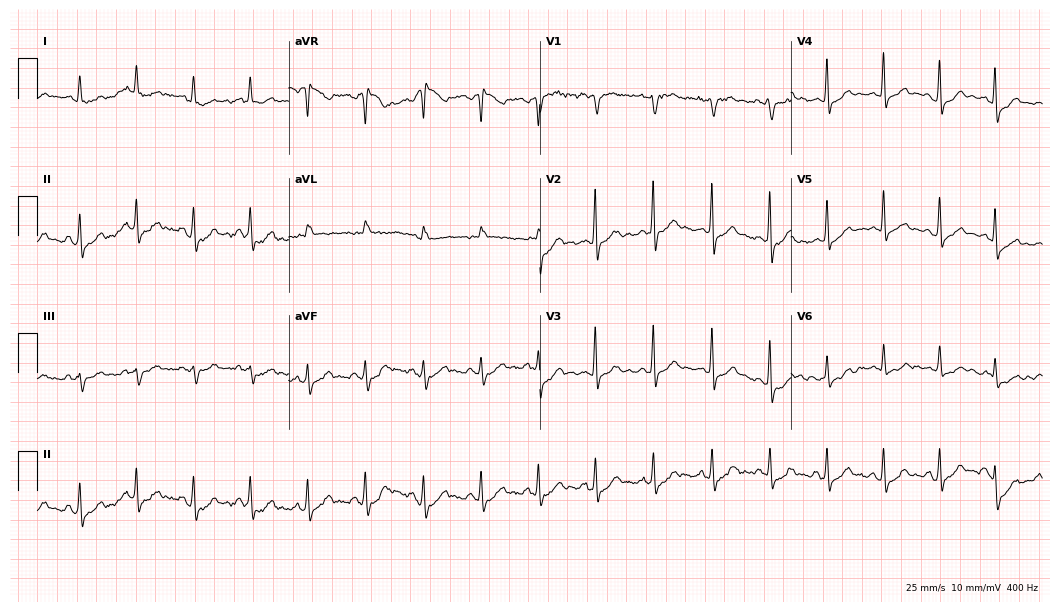
ECG (10.2-second recording at 400 Hz) — a male patient, 30 years old. Findings include sinus tachycardia (a sinus rate of 100 beats per minute or more).